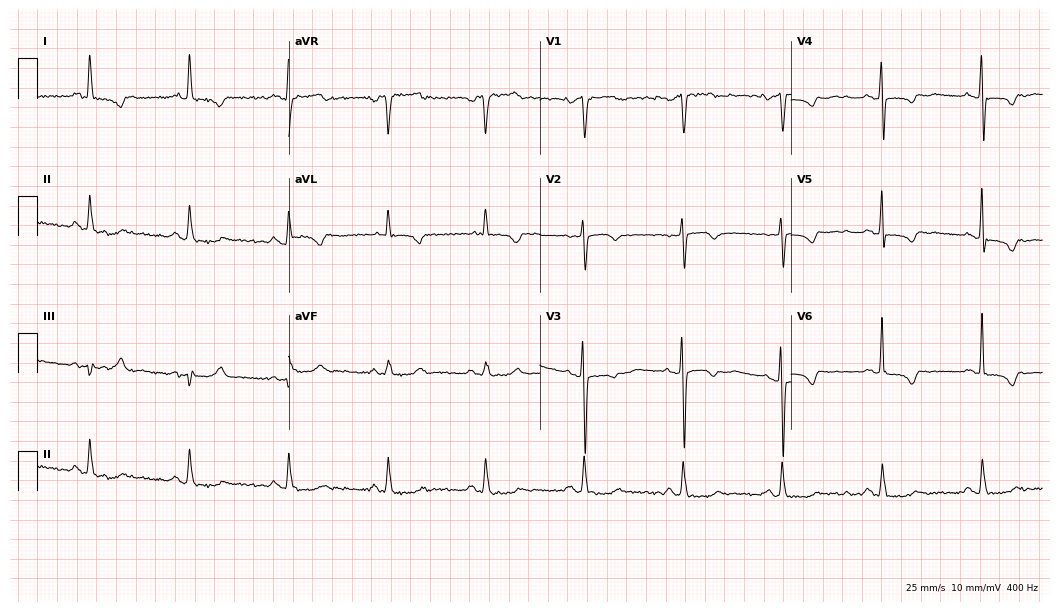
Resting 12-lead electrocardiogram. Patient: a female, 62 years old. None of these six findings is recorded: first-degree AV block, right bundle branch block (RBBB), left bundle branch block (LBBB), sinus bradycardia, atrial fibrillation (AF), sinus tachycardia.